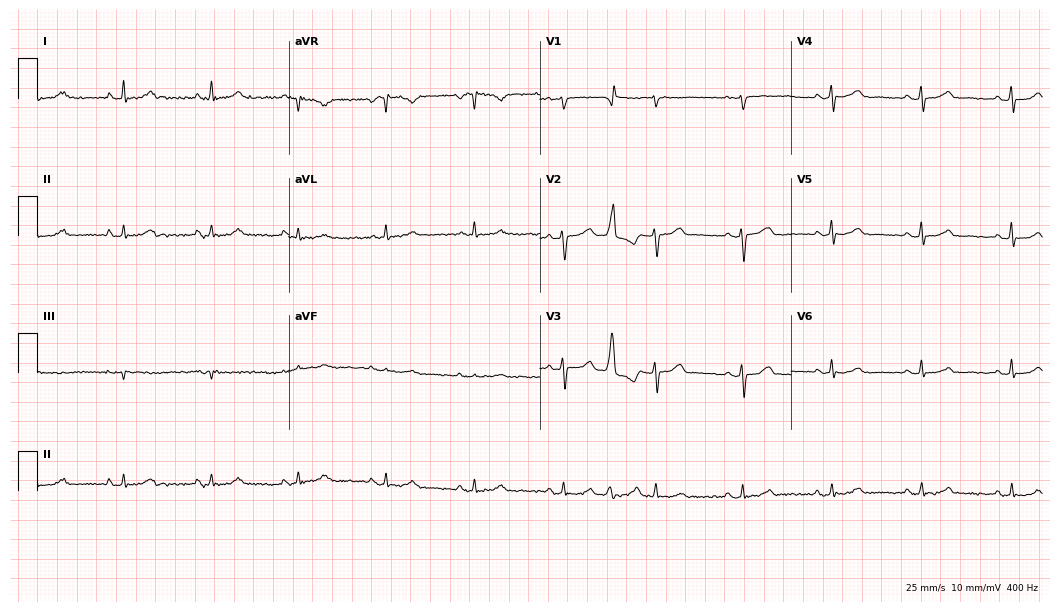
Standard 12-lead ECG recorded from a female, 74 years old. None of these six findings is recorded: first-degree AV block, right bundle branch block (RBBB), left bundle branch block (LBBB), sinus bradycardia, atrial fibrillation (AF), sinus tachycardia.